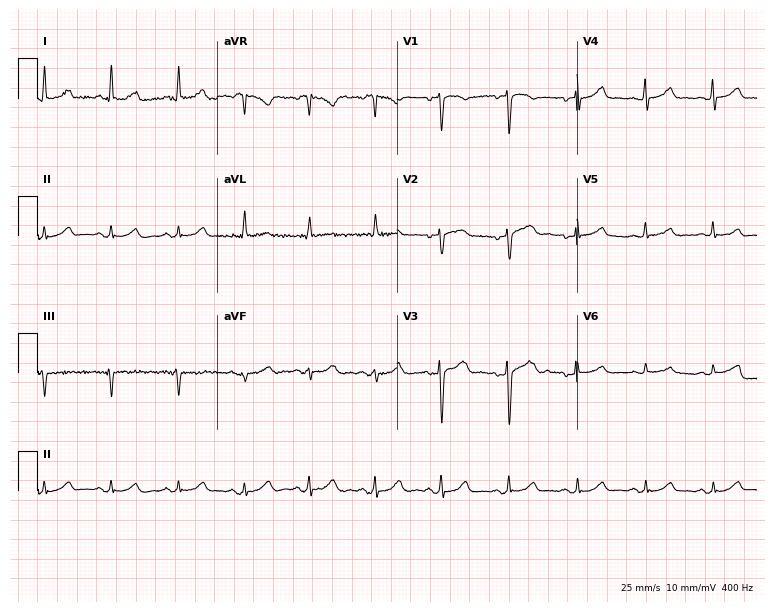
ECG — a 61-year-old female. Screened for six findings — first-degree AV block, right bundle branch block (RBBB), left bundle branch block (LBBB), sinus bradycardia, atrial fibrillation (AF), sinus tachycardia — none is recorded. Only these six findings were labelled.